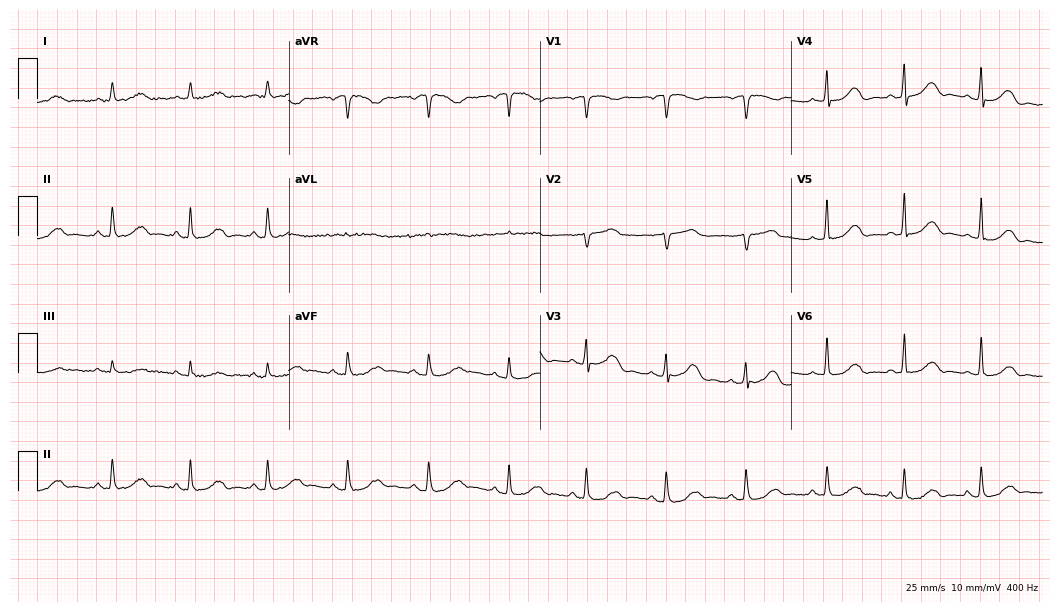
Electrocardiogram, a female patient, 79 years old. Overall reading on record: normal ECG.